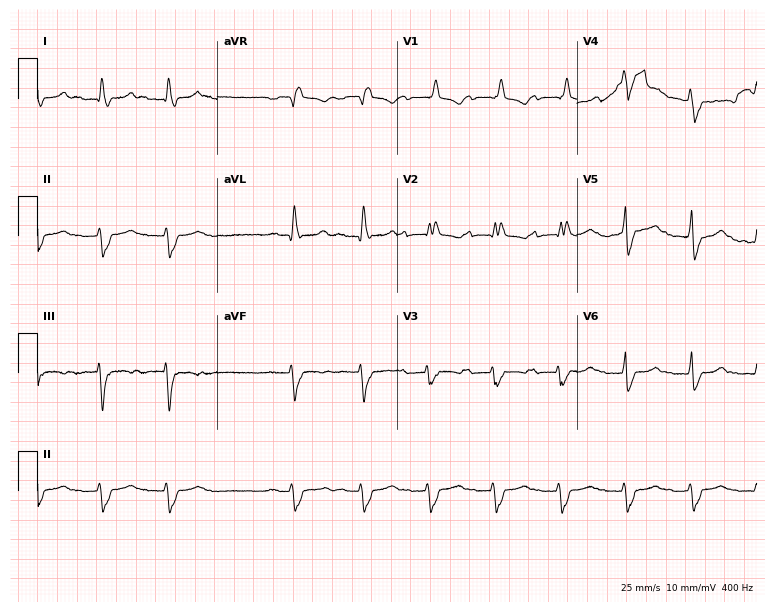
ECG (7.3-second recording at 400 Hz) — a female patient, 52 years old. Screened for six findings — first-degree AV block, right bundle branch block (RBBB), left bundle branch block (LBBB), sinus bradycardia, atrial fibrillation (AF), sinus tachycardia — none is recorded. Other findings, if any, are not listed.